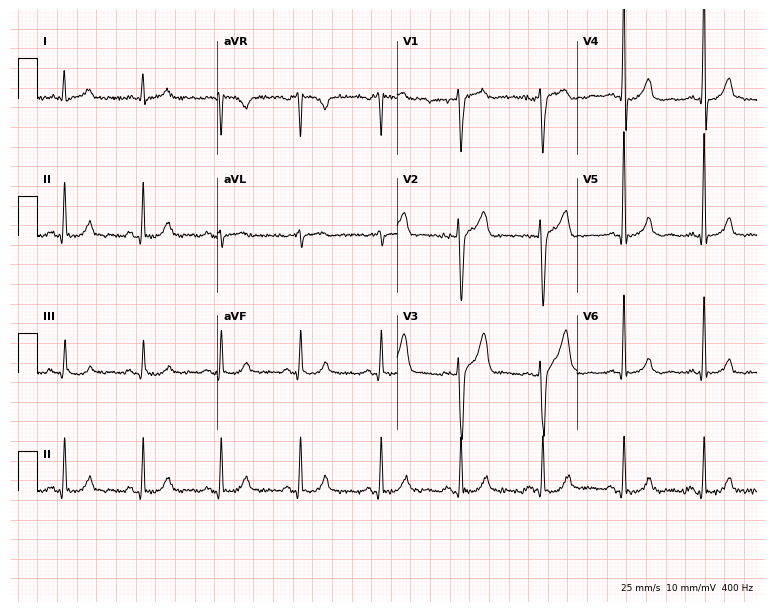
Standard 12-lead ECG recorded from a 49-year-old male (7.3-second recording at 400 Hz). None of these six findings is recorded: first-degree AV block, right bundle branch block, left bundle branch block, sinus bradycardia, atrial fibrillation, sinus tachycardia. Only these six findings were labelled.